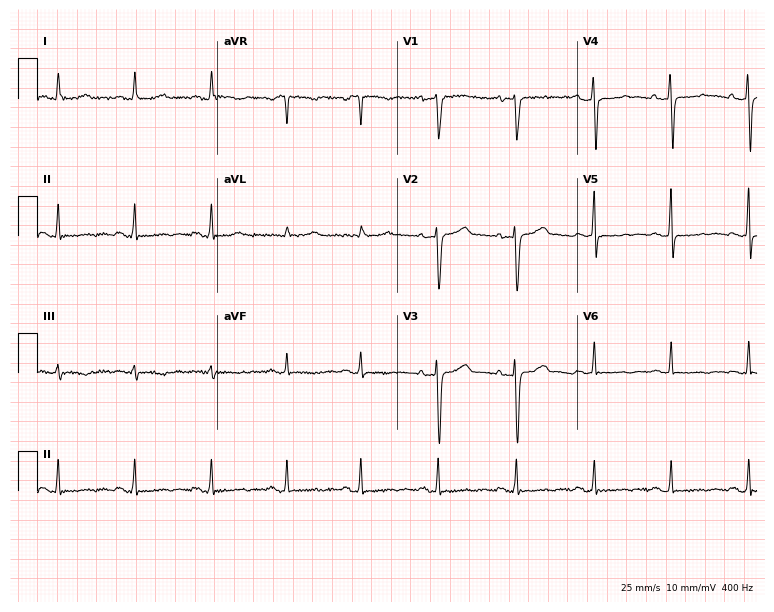
Standard 12-lead ECG recorded from a 33-year-old female. None of these six findings is recorded: first-degree AV block, right bundle branch block, left bundle branch block, sinus bradycardia, atrial fibrillation, sinus tachycardia.